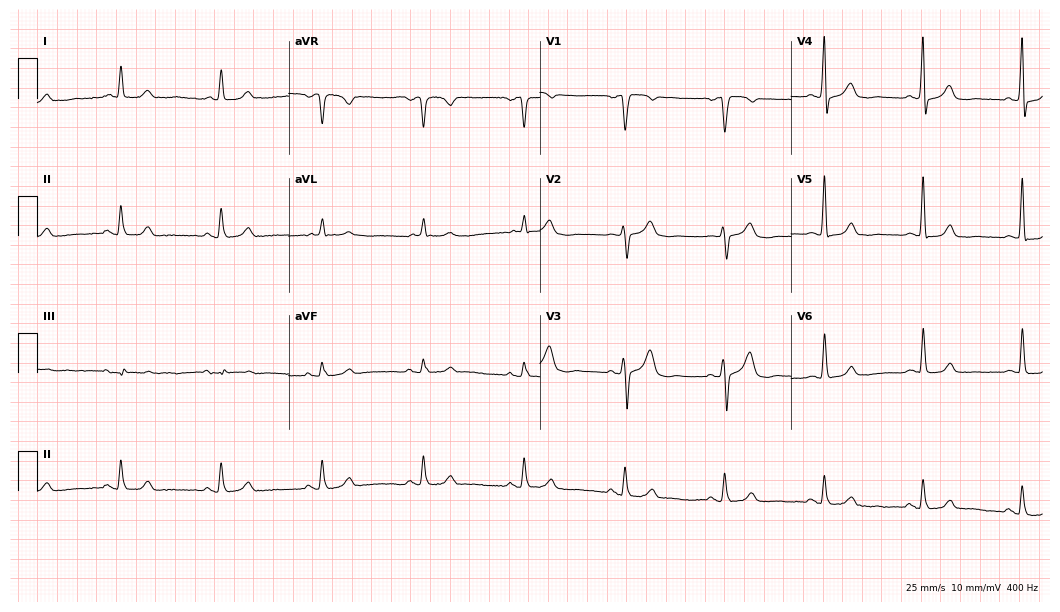
Electrocardiogram, a male patient, 79 years old. Overall reading on record: normal ECG.